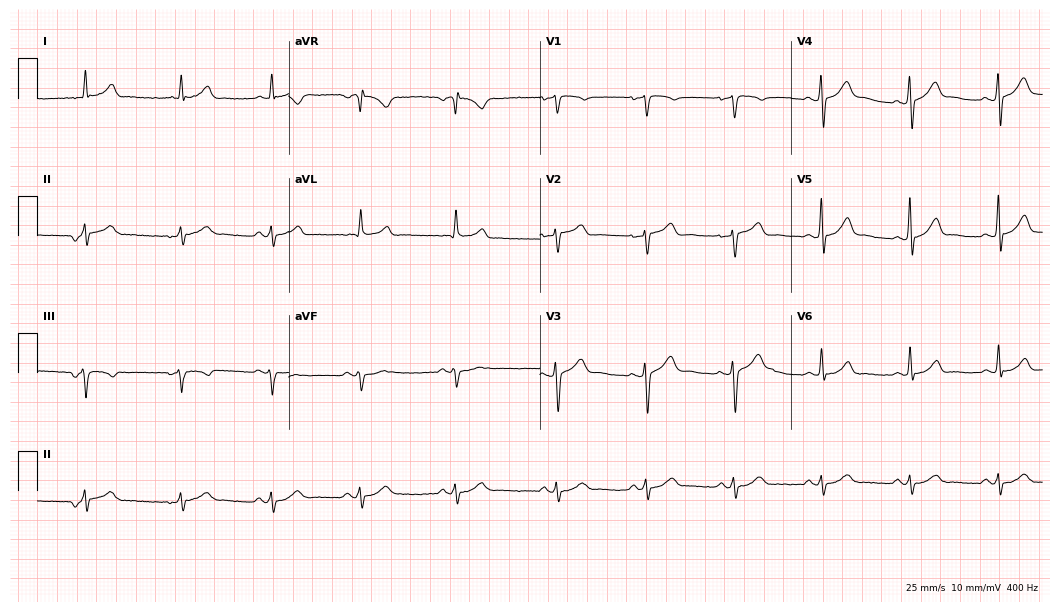
Standard 12-lead ECG recorded from a 43-year-old male (10.2-second recording at 400 Hz). None of these six findings is recorded: first-degree AV block, right bundle branch block, left bundle branch block, sinus bradycardia, atrial fibrillation, sinus tachycardia.